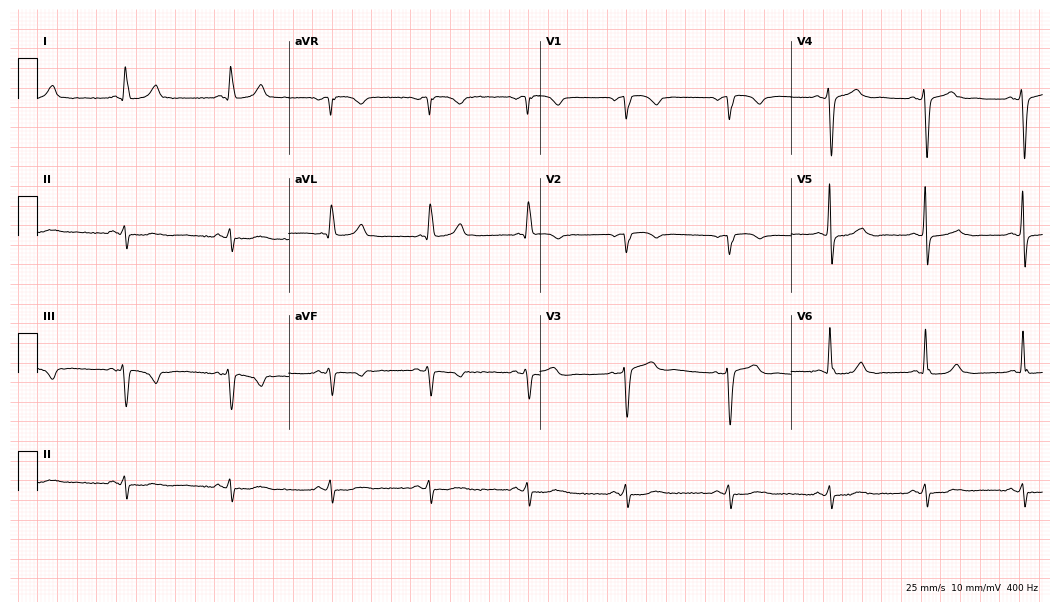
Standard 12-lead ECG recorded from a female patient, 73 years old (10.2-second recording at 400 Hz). None of these six findings is recorded: first-degree AV block, right bundle branch block (RBBB), left bundle branch block (LBBB), sinus bradycardia, atrial fibrillation (AF), sinus tachycardia. Only these six findings were labelled.